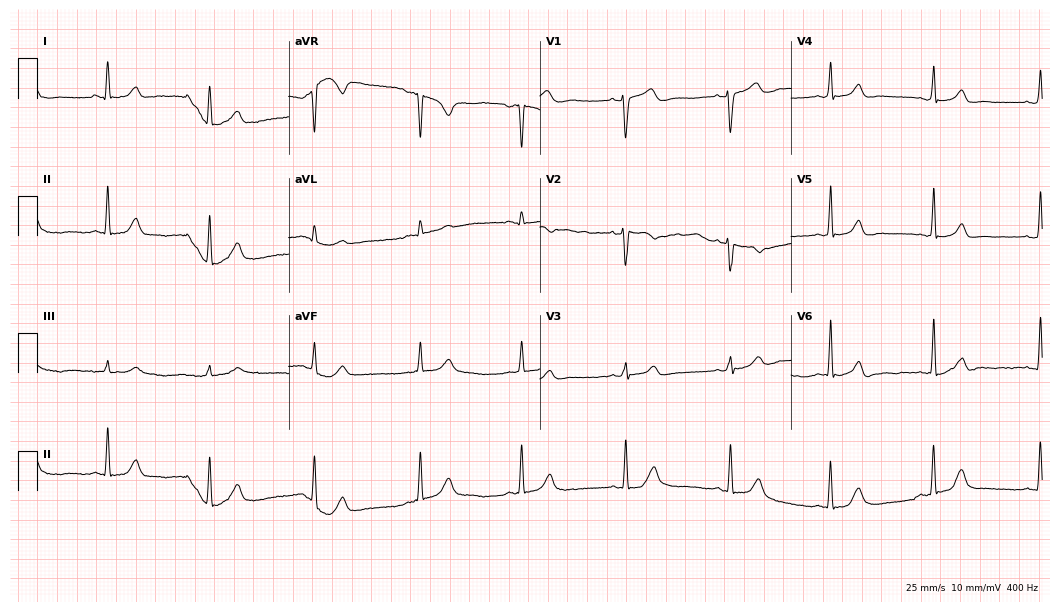
12-lead ECG from a 33-year-old woman. Labelled as a normal ECG.